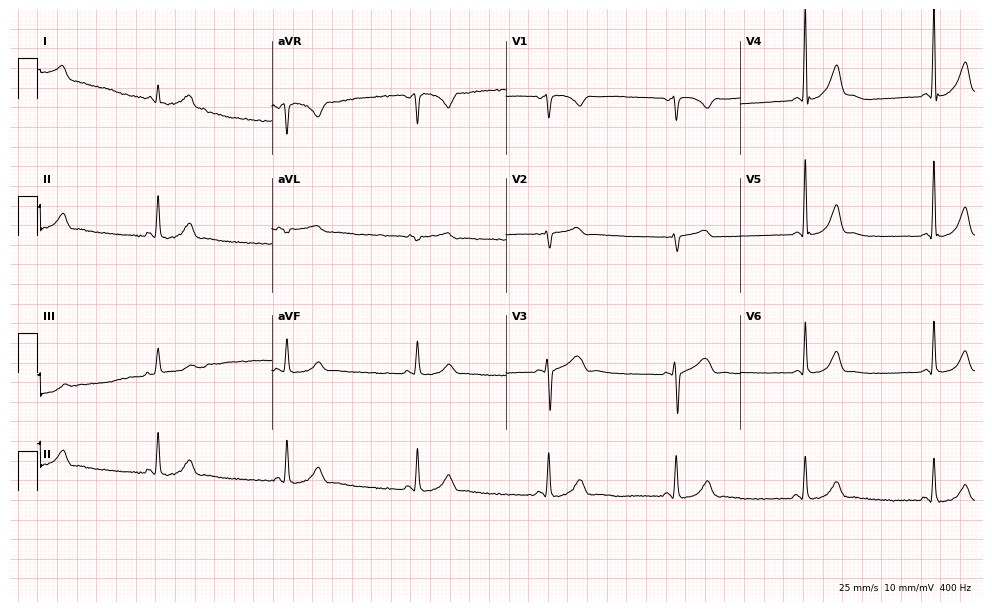
Resting 12-lead electrocardiogram. Patient: a 52-year-old female. Read as a normal ECG.